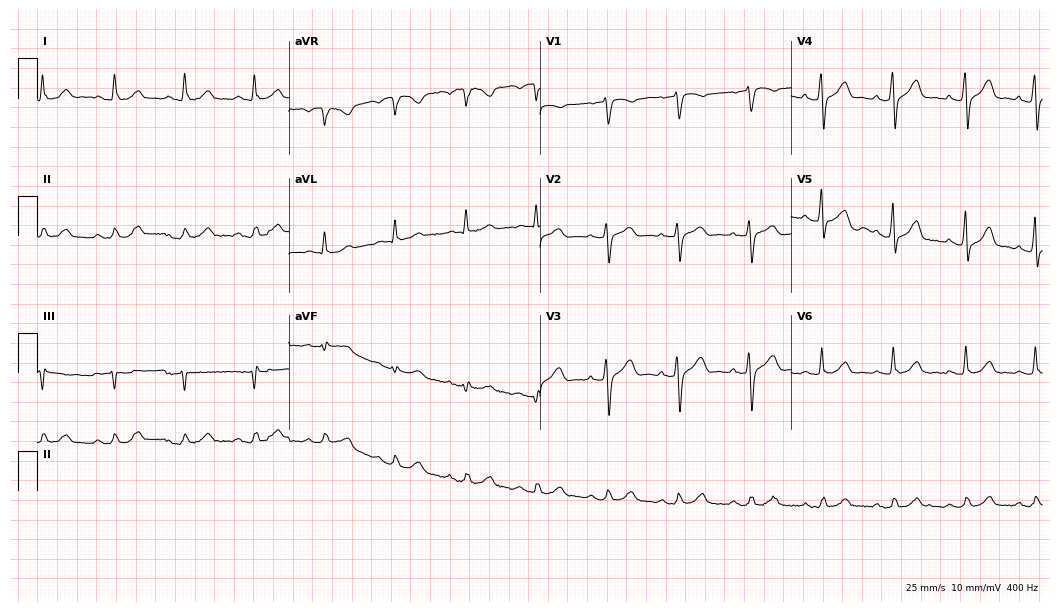
Electrocardiogram (10.2-second recording at 400 Hz), a man, 50 years old. Overall reading on record: normal ECG.